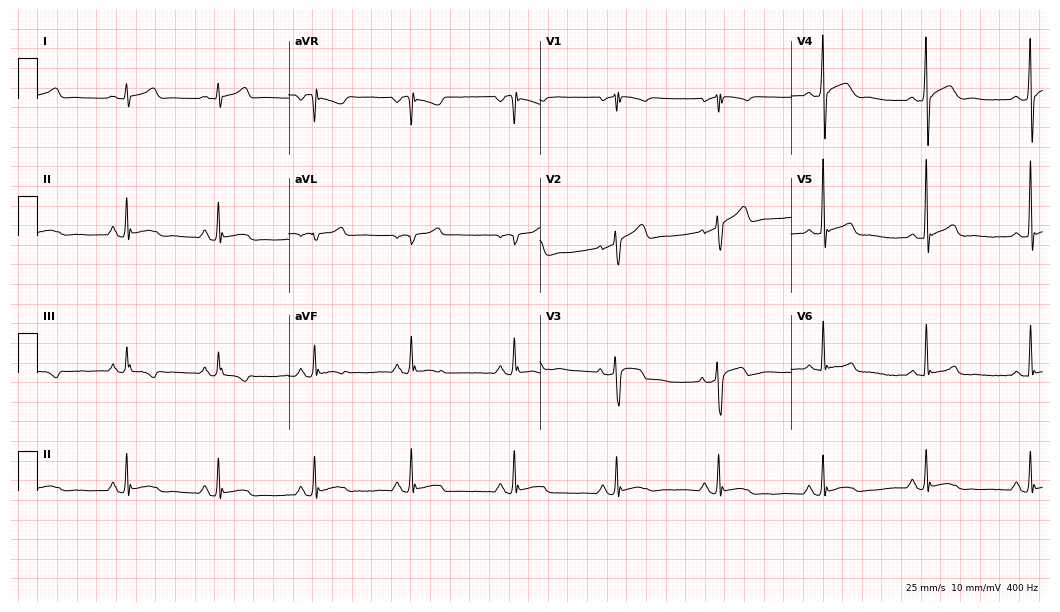
12-lead ECG from a male patient, 45 years old. Screened for six findings — first-degree AV block, right bundle branch block (RBBB), left bundle branch block (LBBB), sinus bradycardia, atrial fibrillation (AF), sinus tachycardia — none is recorded.